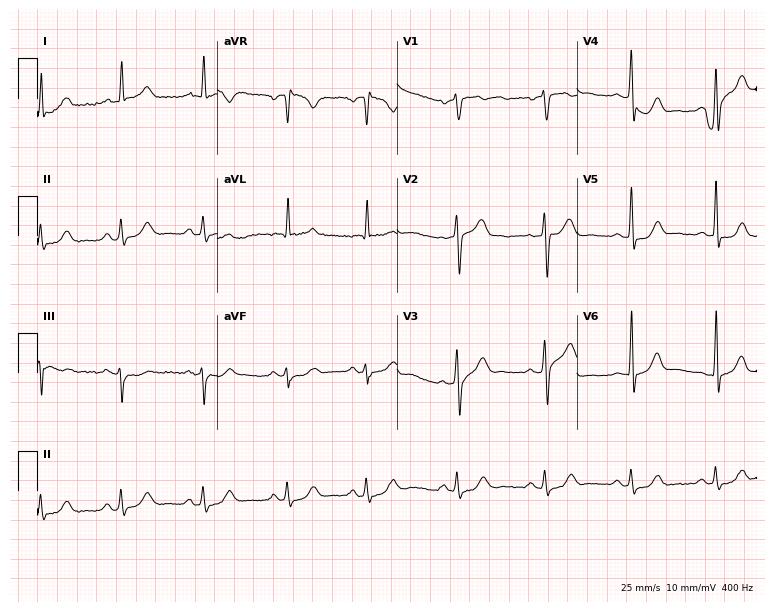
12-lead ECG (7.3-second recording at 400 Hz) from a male patient, 63 years old. Screened for six findings — first-degree AV block, right bundle branch block, left bundle branch block, sinus bradycardia, atrial fibrillation, sinus tachycardia — none is recorded. Findings outside these six are not listed.